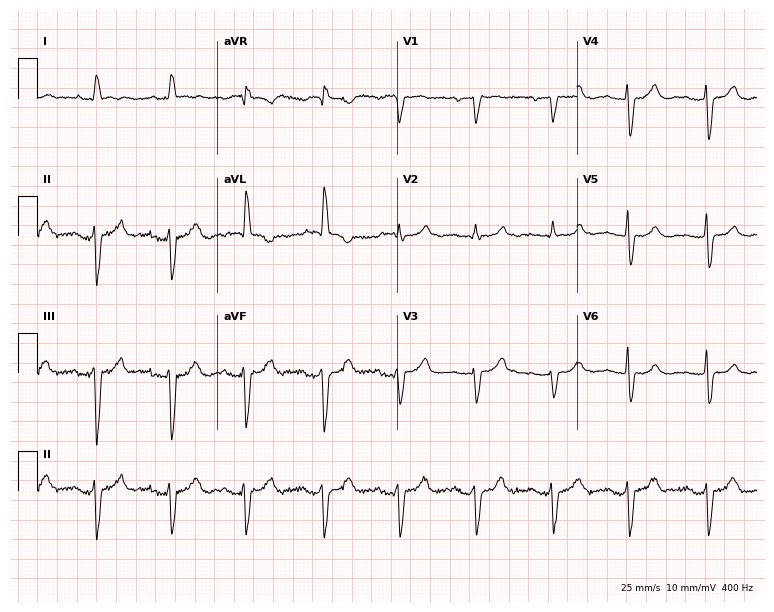
12-lead ECG from a woman, 85 years old. No first-degree AV block, right bundle branch block, left bundle branch block, sinus bradycardia, atrial fibrillation or sinus tachycardia recorded for this tracing.